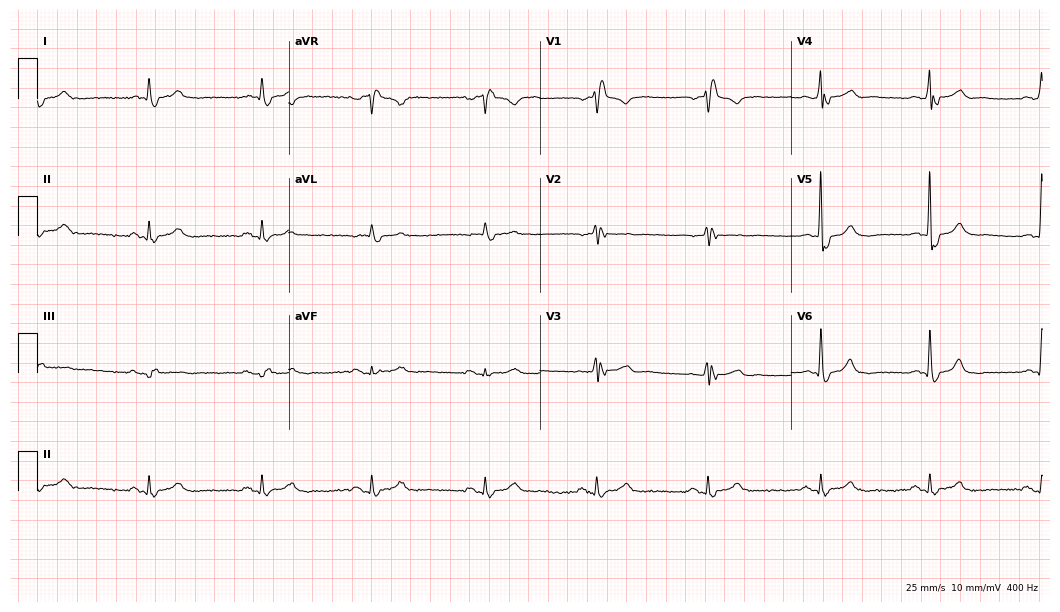
ECG (10.2-second recording at 400 Hz) — a man, 54 years old. Findings include right bundle branch block.